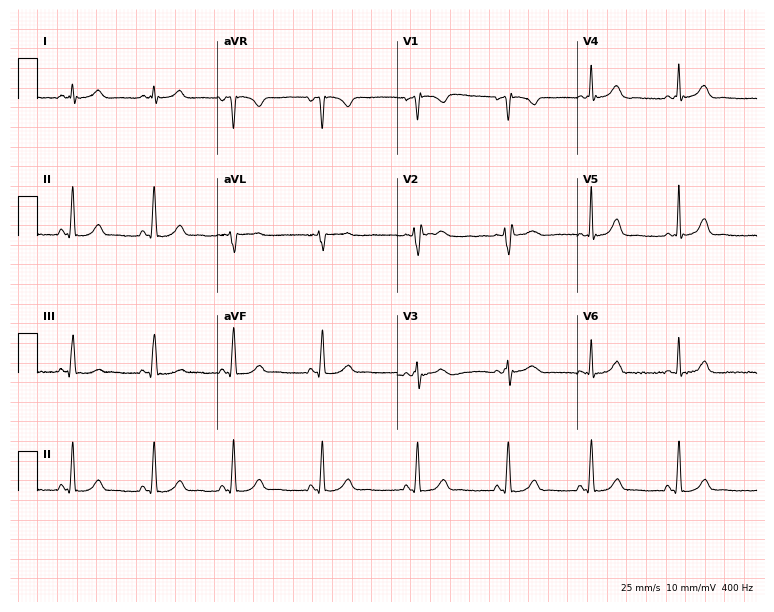
Resting 12-lead electrocardiogram (7.3-second recording at 400 Hz). Patient: a female, 22 years old. Read as a normal ECG.